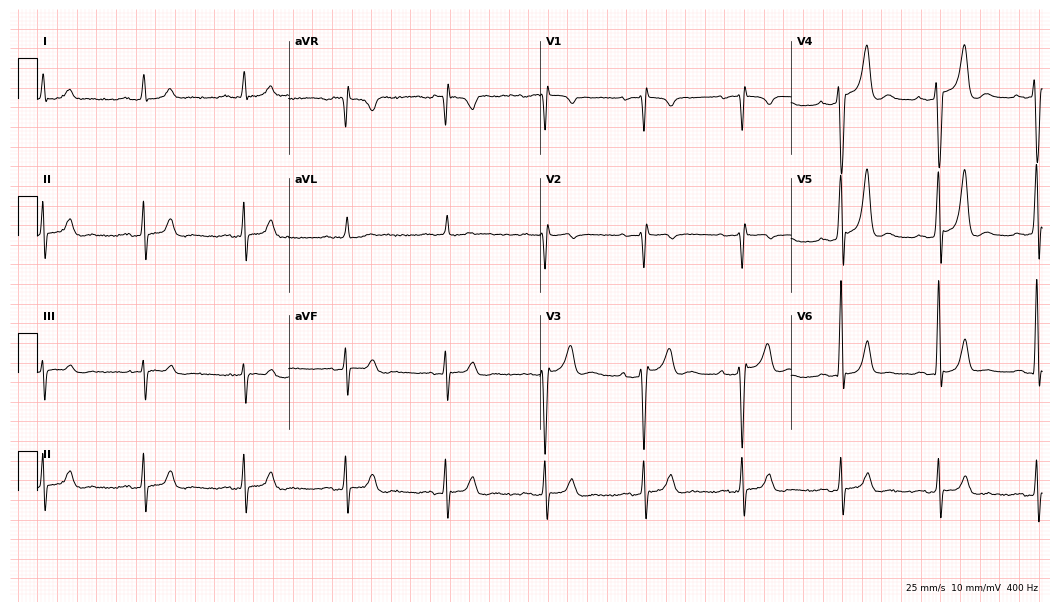
Electrocardiogram, a male patient, 76 years old. Of the six screened findings (first-degree AV block, right bundle branch block (RBBB), left bundle branch block (LBBB), sinus bradycardia, atrial fibrillation (AF), sinus tachycardia), none is recorded. Findings outside these six are not listed.